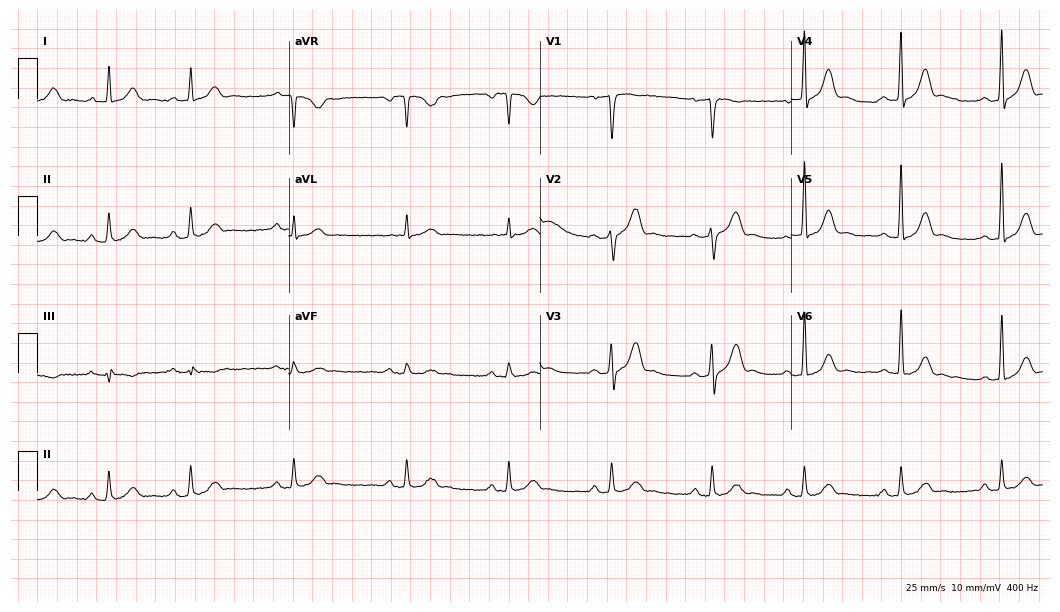
12-lead ECG (10.2-second recording at 400 Hz) from a man, 62 years old. Labelled as a normal ECG.